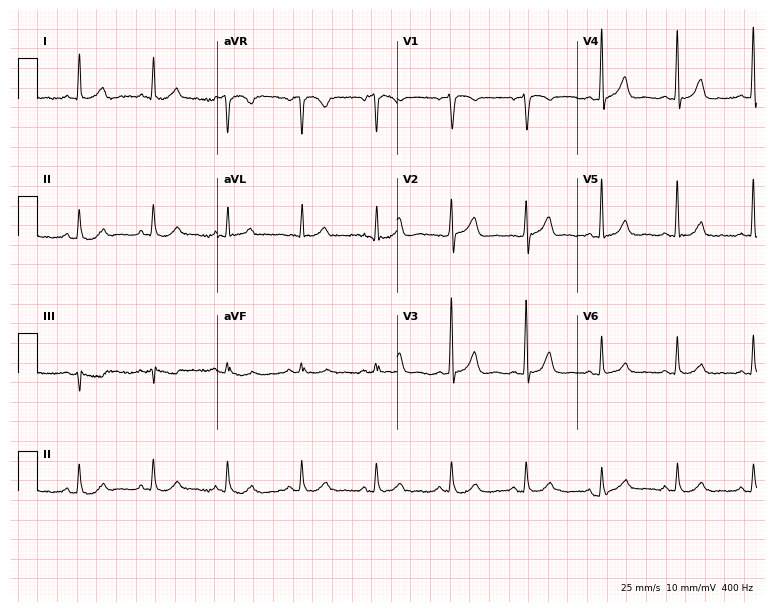
Electrocardiogram (7.3-second recording at 400 Hz), a 65-year-old female. Overall reading on record: normal ECG.